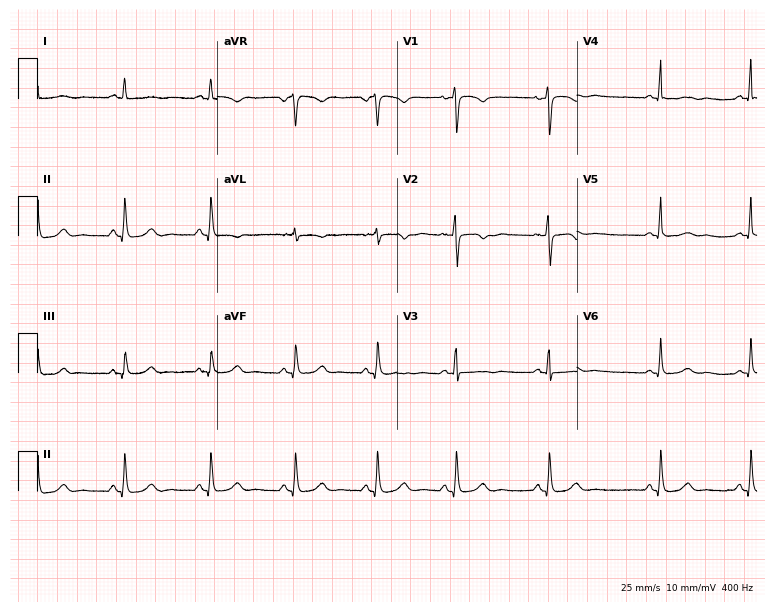
Resting 12-lead electrocardiogram. Patient: a woman, 48 years old. None of these six findings is recorded: first-degree AV block, right bundle branch block (RBBB), left bundle branch block (LBBB), sinus bradycardia, atrial fibrillation (AF), sinus tachycardia. Only these six findings were labelled.